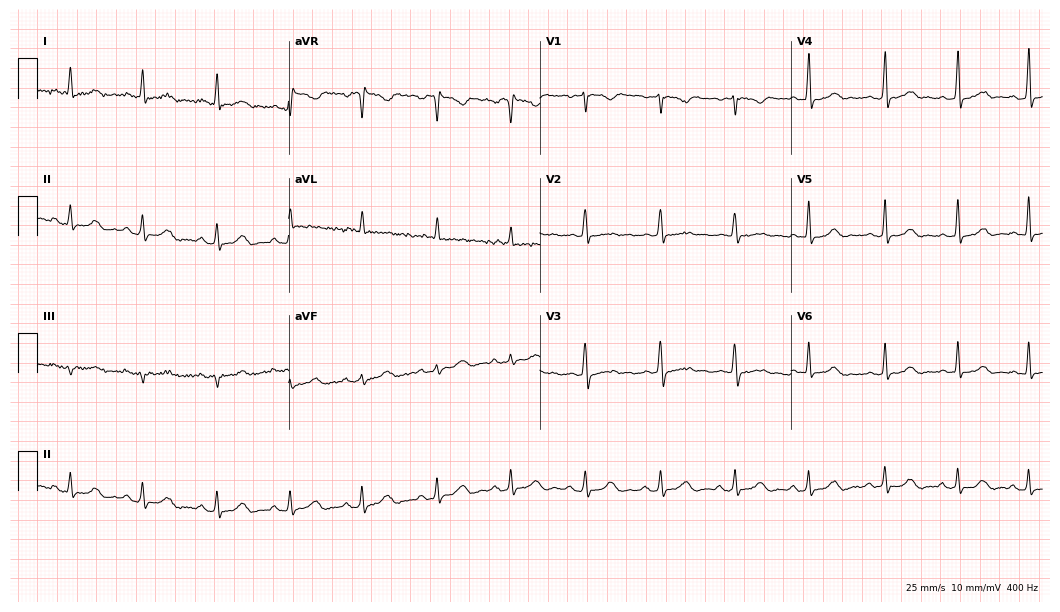
Standard 12-lead ECG recorded from a woman, 31 years old (10.2-second recording at 400 Hz). Read as a normal ECG.